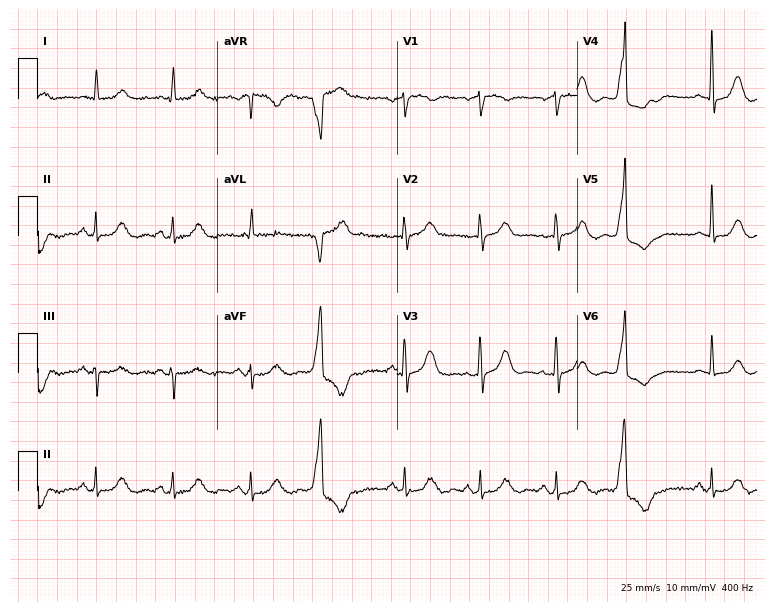
Resting 12-lead electrocardiogram (7.3-second recording at 400 Hz). Patient: a 77-year-old female. None of these six findings is recorded: first-degree AV block, right bundle branch block, left bundle branch block, sinus bradycardia, atrial fibrillation, sinus tachycardia.